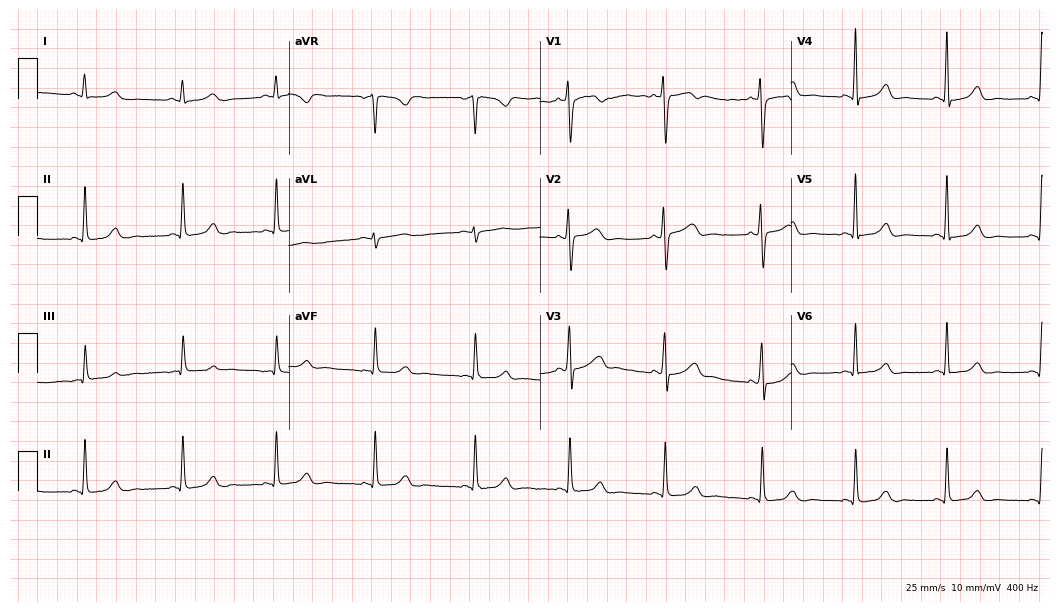
Standard 12-lead ECG recorded from a 35-year-old woman (10.2-second recording at 400 Hz). Read as a normal ECG.